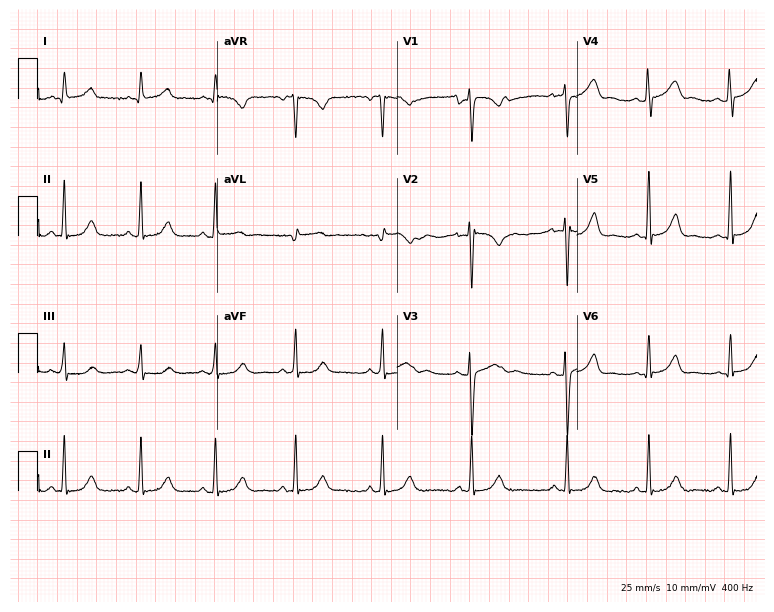
Electrocardiogram, a 23-year-old female patient. Of the six screened findings (first-degree AV block, right bundle branch block (RBBB), left bundle branch block (LBBB), sinus bradycardia, atrial fibrillation (AF), sinus tachycardia), none is recorded.